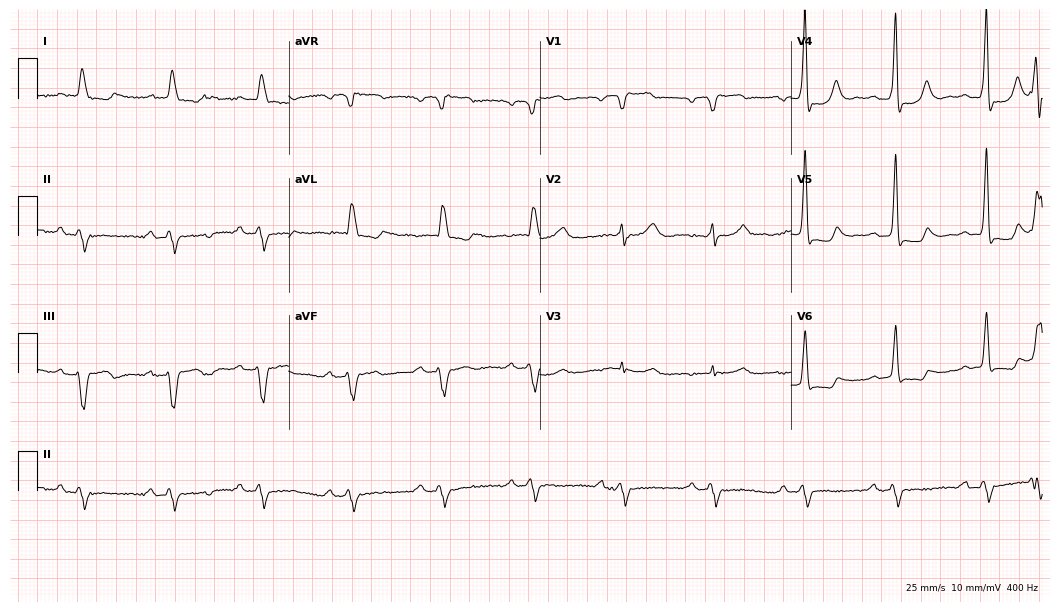
Electrocardiogram (10.2-second recording at 400 Hz), a 78-year-old male patient. Of the six screened findings (first-degree AV block, right bundle branch block, left bundle branch block, sinus bradycardia, atrial fibrillation, sinus tachycardia), none is recorded.